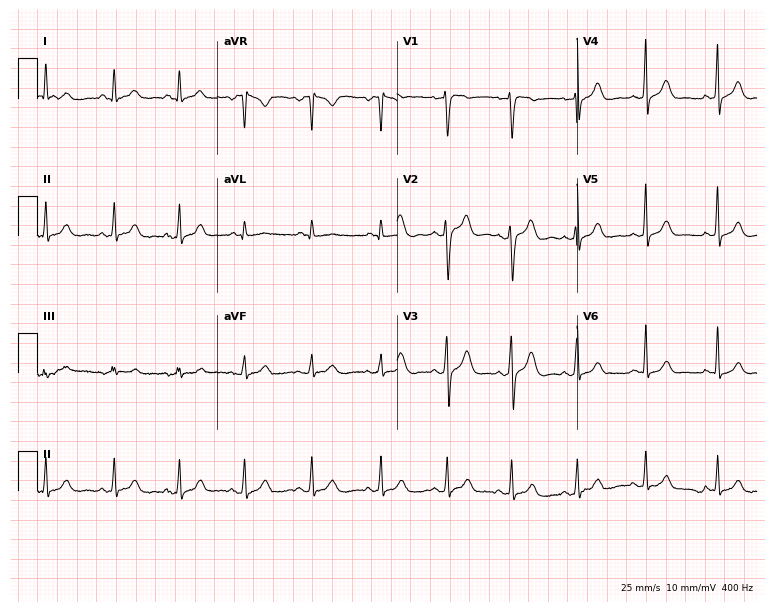
12-lead ECG from a woman, 31 years old. Labelled as a normal ECG.